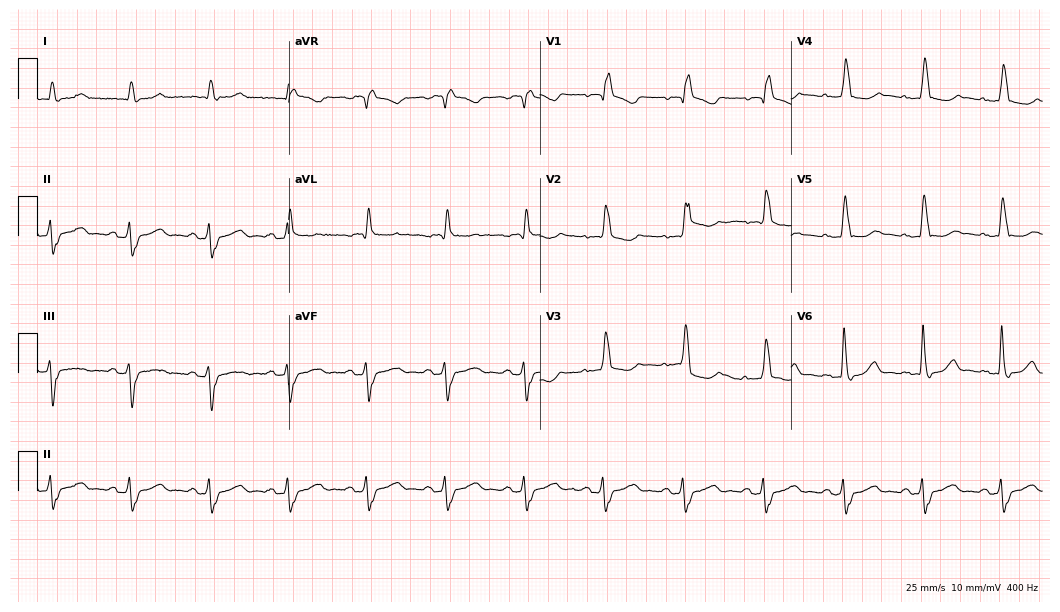
Electrocardiogram (10.2-second recording at 400 Hz), a male, 85 years old. Interpretation includes right bundle branch block (RBBB).